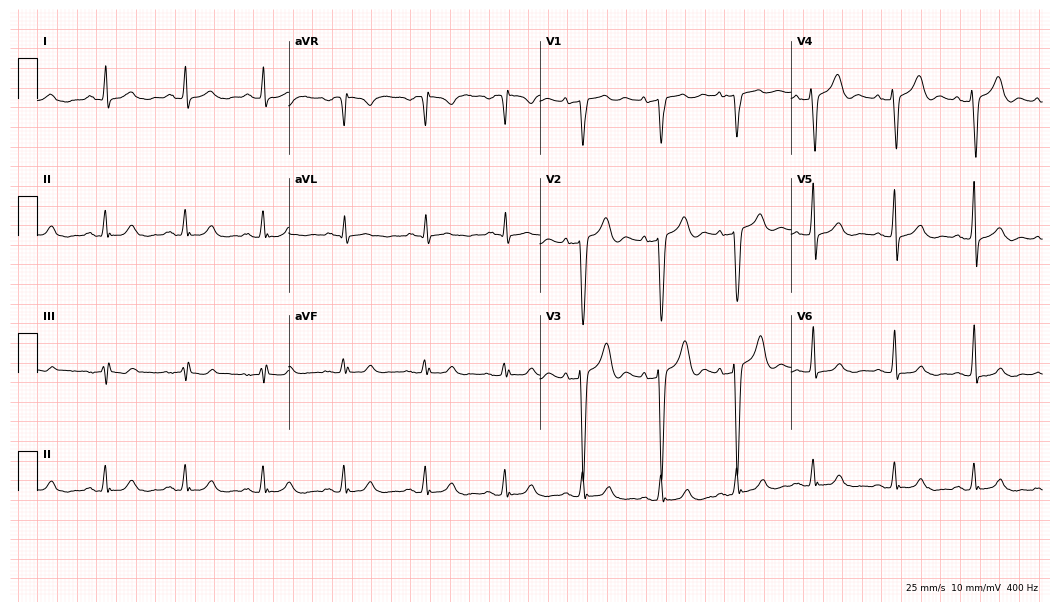
12-lead ECG from a male patient, 45 years old. Screened for six findings — first-degree AV block, right bundle branch block, left bundle branch block, sinus bradycardia, atrial fibrillation, sinus tachycardia — none is recorded.